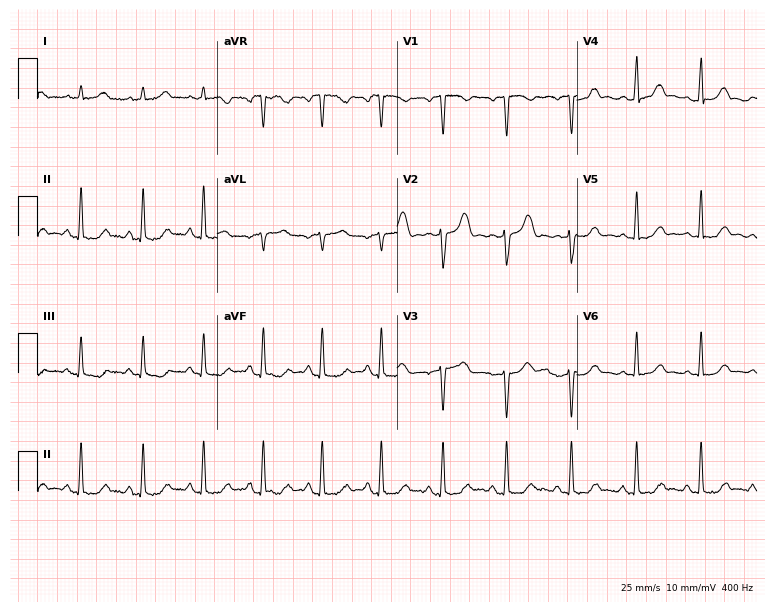
Standard 12-lead ECG recorded from a female, 40 years old. None of these six findings is recorded: first-degree AV block, right bundle branch block (RBBB), left bundle branch block (LBBB), sinus bradycardia, atrial fibrillation (AF), sinus tachycardia. Only these six findings were labelled.